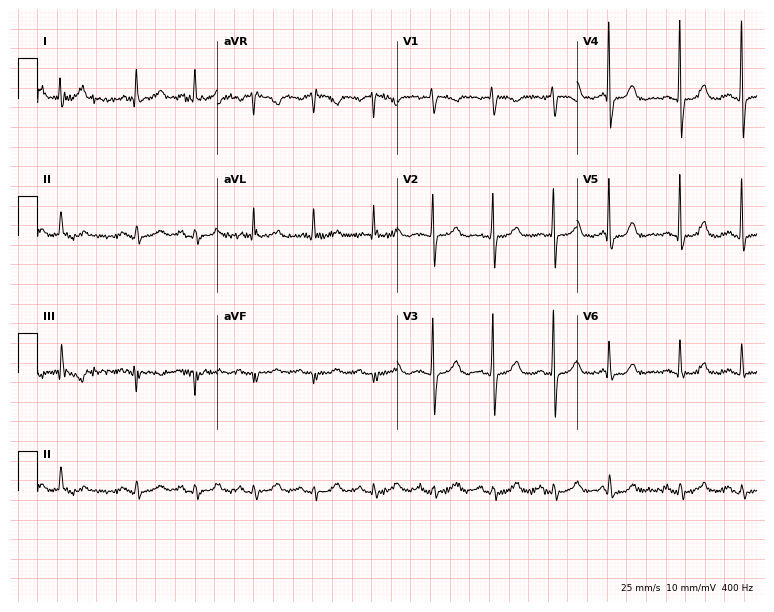
ECG (7.3-second recording at 400 Hz) — a female patient, 62 years old. Screened for six findings — first-degree AV block, right bundle branch block, left bundle branch block, sinus bradycardia, atrial fibrillation, sinus tachycardia — none is recorded. Findings outside these six are not listed.